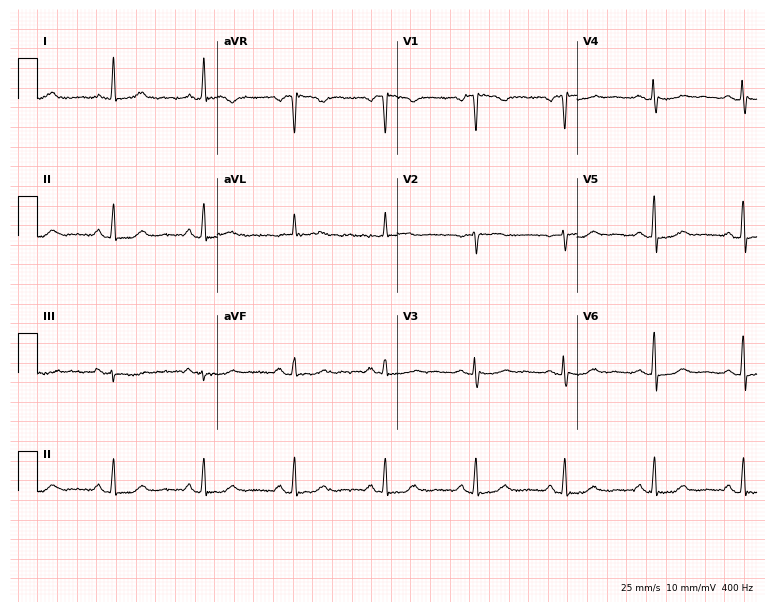
Standard 12-lead ECG recorded from a female patient, 61 years old. None of these six findings is recorded: first-degree AV block, right bundle branch block, left bundle branch block, sinus bradycardia, atrial fibrillation, sinus tachycardia.